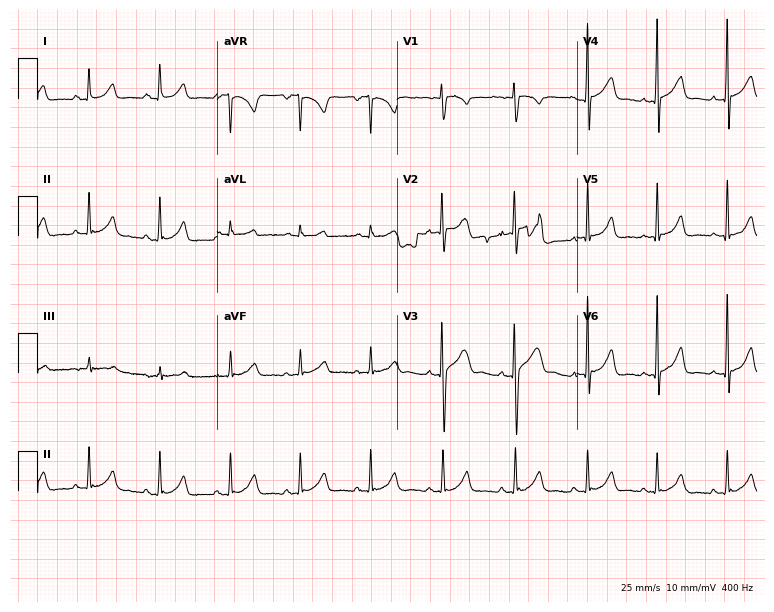
Resting 12-lead electrocardiogram. Patient: a woman, 18 years old. Read as a normal ECG.